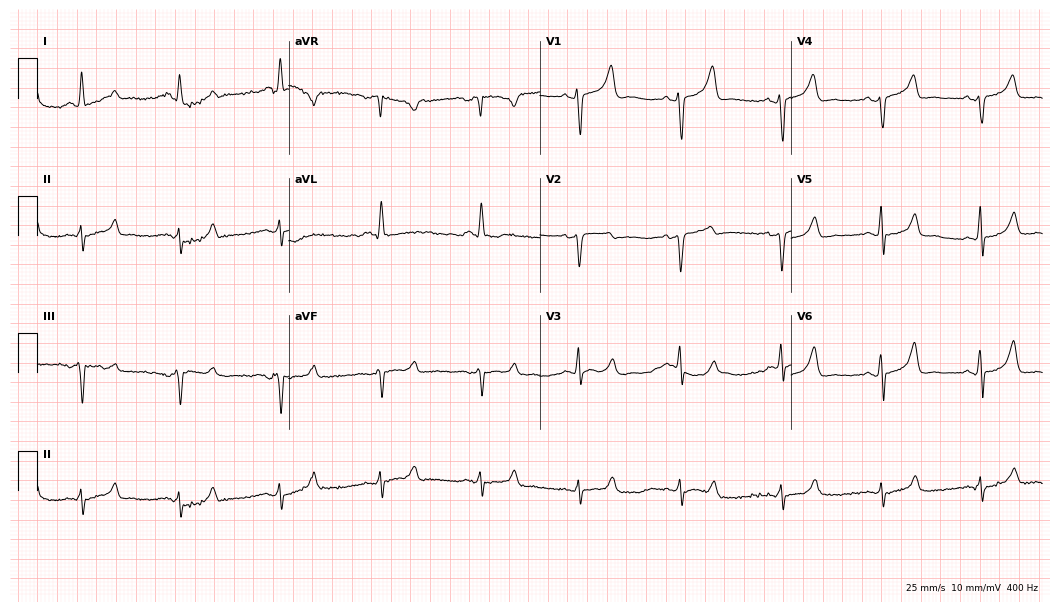
Standard 12-lead ECG recorded from a female patient, 56 years old (10.2-second recording at 400 Hz). None of these six findings is recorded: first-degree AV block, right bundle branch block (RBBB), left bundle branch block (LBBB), sinus bradycardia, atrial fibrillation (AF), sinus tachycardia. Only these six findings were labelled.